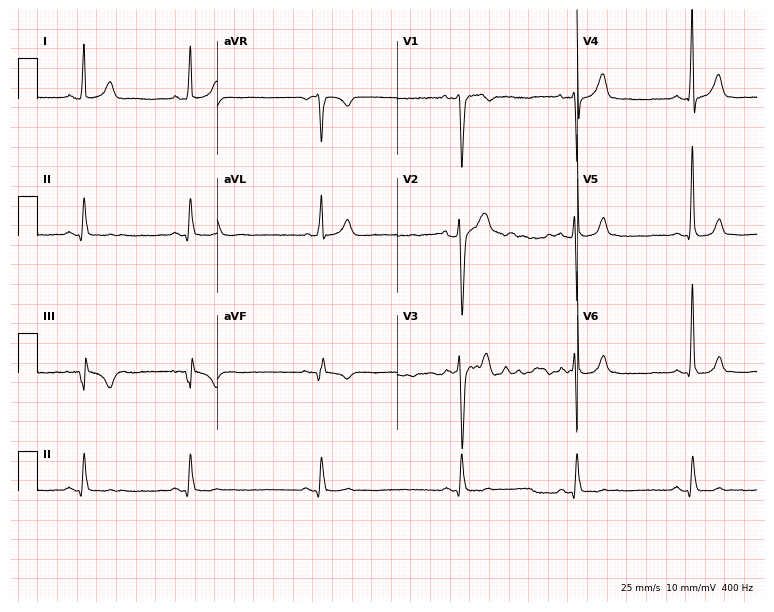
ECG — a male patient, 28 years old. Findings include sinus bradycardia (a sinus rate of 50 beats per minute or less).